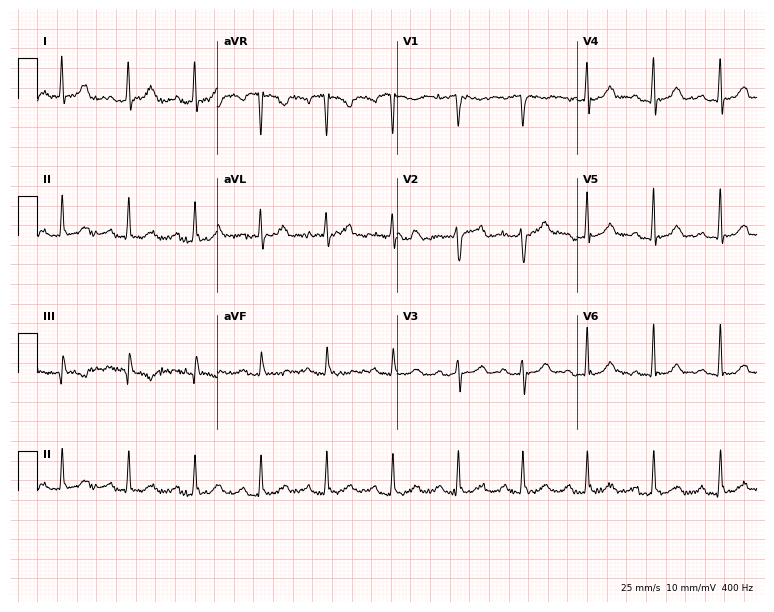
Resting 12-lead electrocardiogram (7.3-second recording at 400 Hz). Patient: a female, 51 years old. Read as a normal ECG.